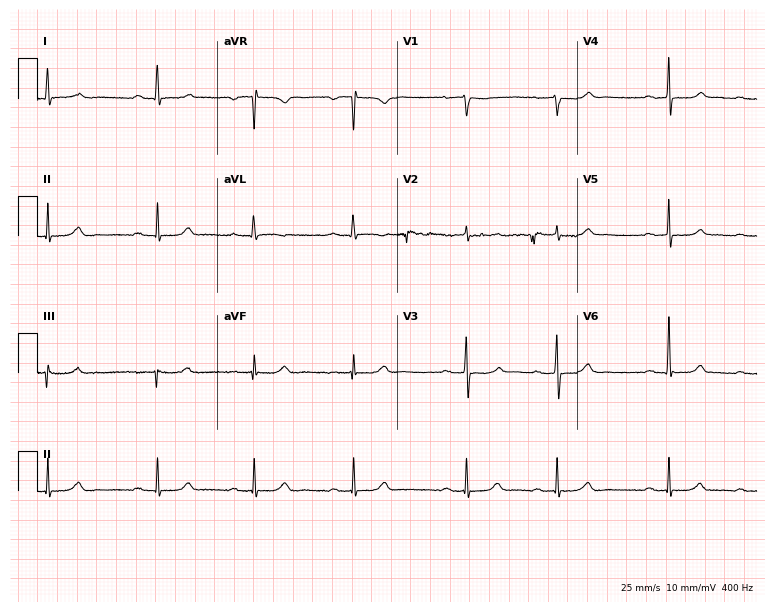
ECG — a female, 61 years old. Labelled as a normal ECG.